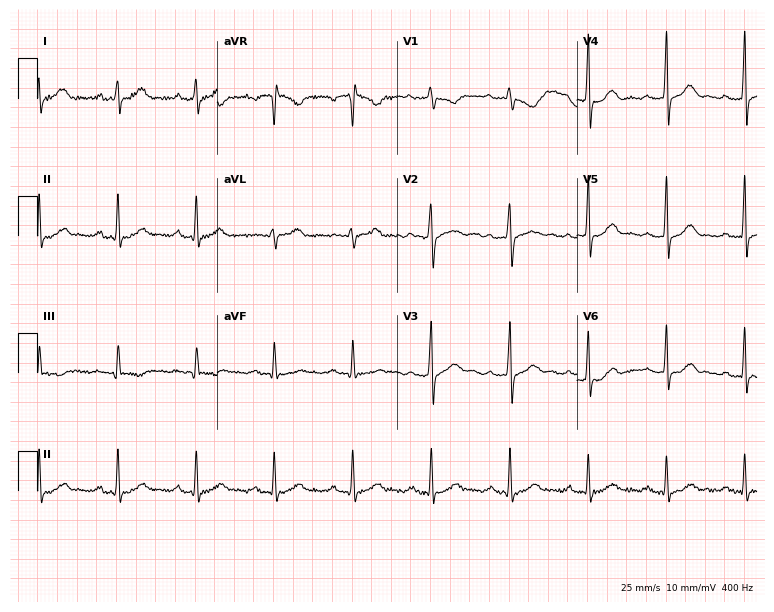
12-lead ECG (7.3-second recording at 400 Hz) from a 47-year-old male patient. Screened for six findings — first-degree AV block, right bundle branch block, left bundle branch block, sinus bradycardia, atrial fibrillation, sinus tachycardia — none is recorded.